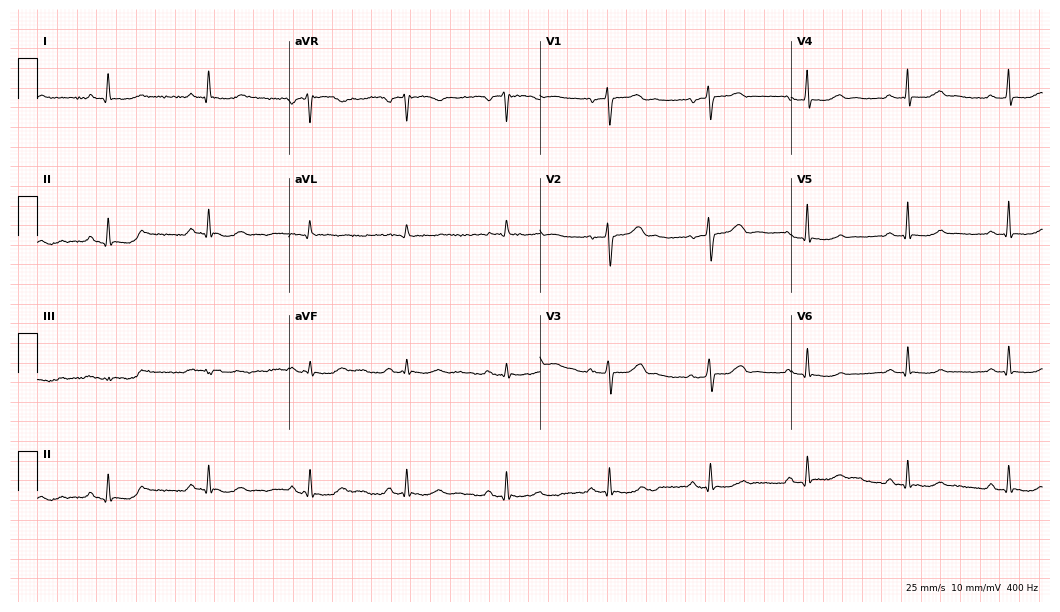
Standard 12-lead ECG recorded from a 60-year-old female. Read as a normal ECG.